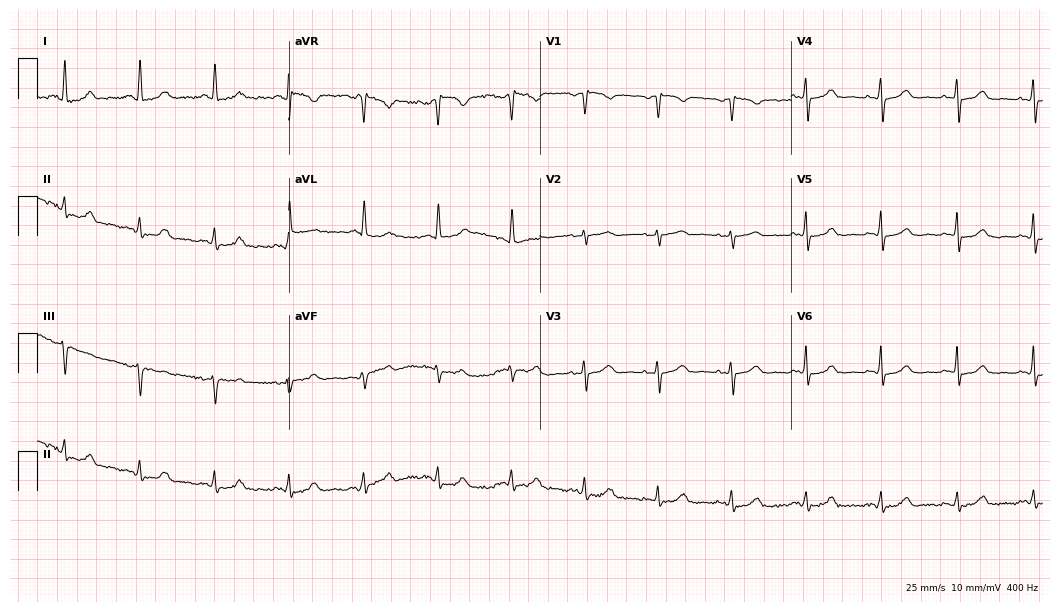
ECG — a female patient, 67 years old. Labelled as a normal ECG.